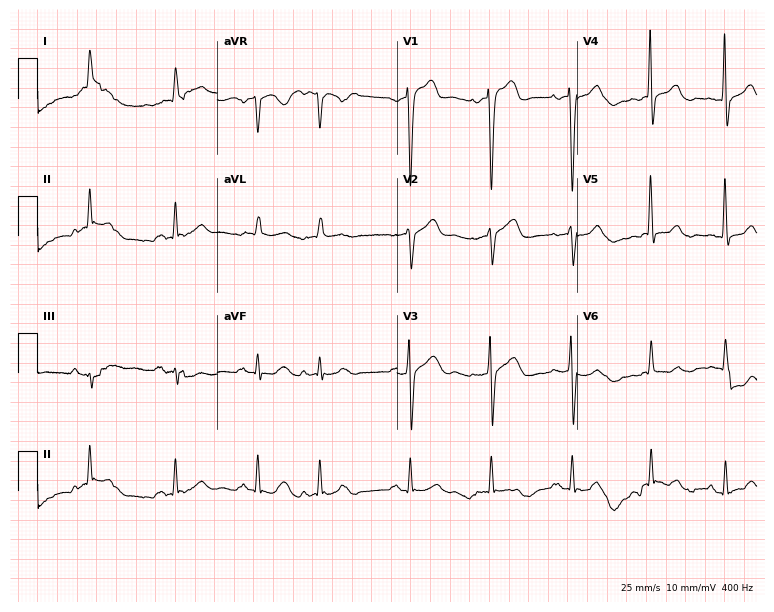
12-lead ECG from a man, 83 years old. Recorded interpretation: within normal limits.